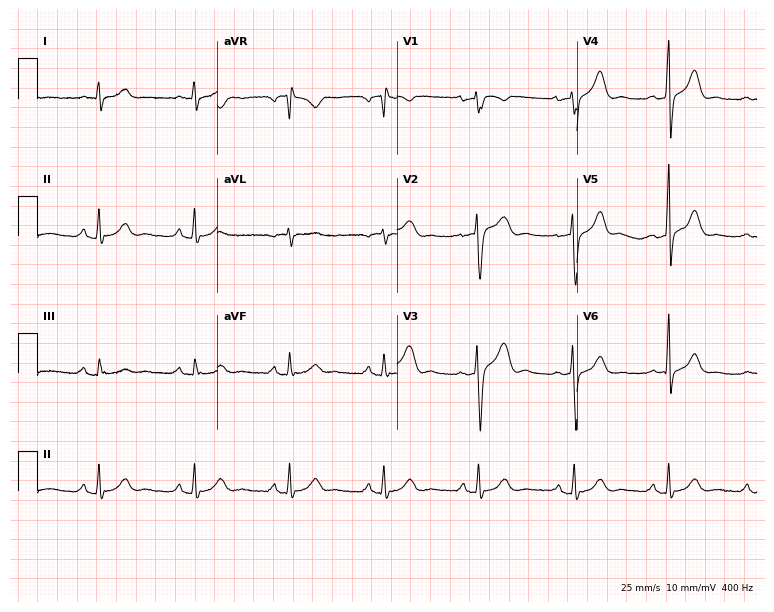
12-lead ECG from a man, 53 years old. Recorded interpretation: within normal limits.